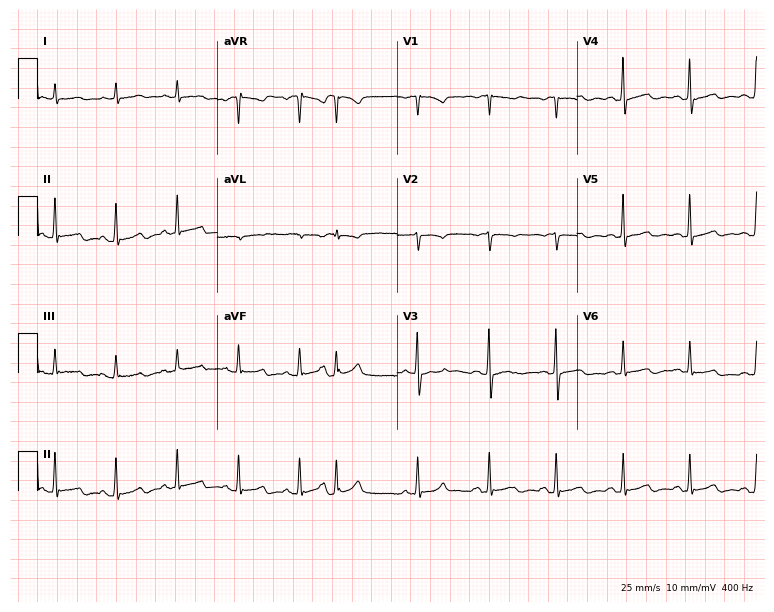
Resting 12-lead electrocardiogram. Patient: a woman, 65 years old. None of these six findings is recorded: first-degree AV block, right bundle branch block, left bundle branch block, sinus bradycardia, atrial fibrillation, sinus tachycardia.